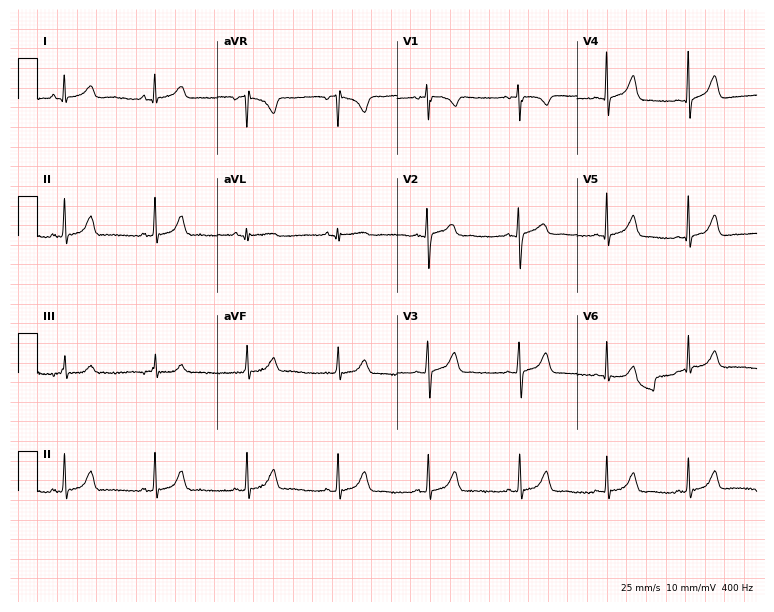
12-lead ECG from a woman, 35 years old. No first-degree AV block, right bundle branch block, left bundle branch block, sinus bradycardia, atrial fibrillation or sinus tachycardia recorded for this tracing.